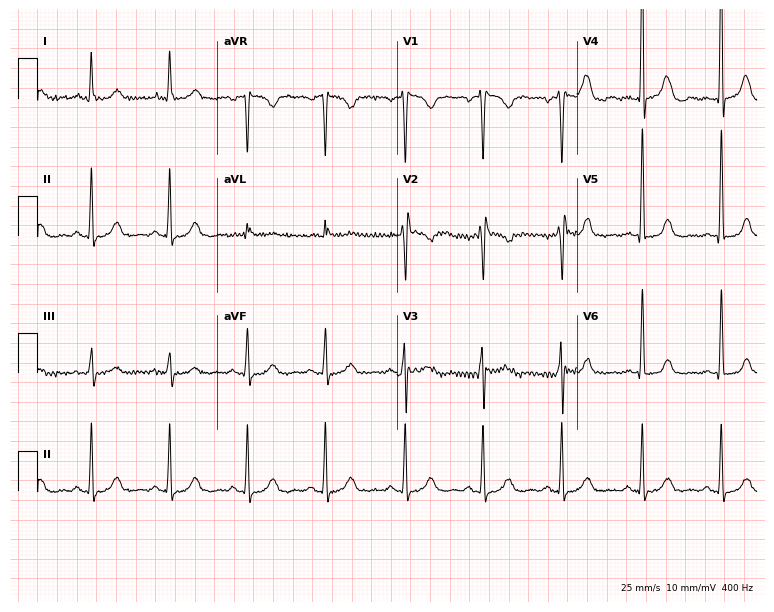
Resting 12-lead electrocardiogram (7.3-second recording at 400 Hz). Patient: a female, 45 years old. None of these six findings is recorded: first-degree AV block, right bundle branch block, left bundle branch block, sinus bradycardia, atrial fibrillation, sinus tachycardia. Findings outside these six are not listed.